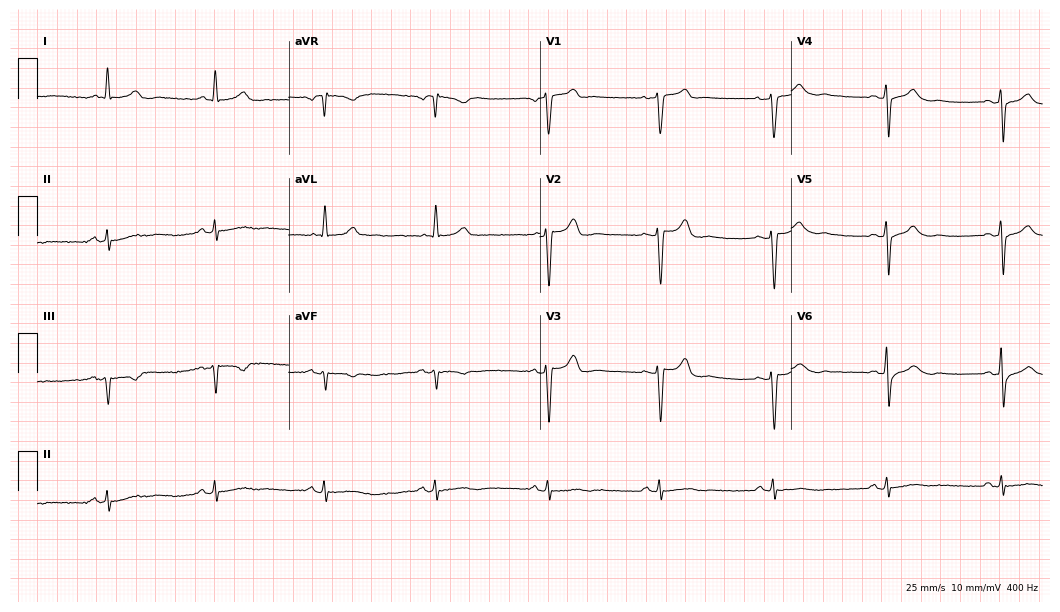
Electrocardiogram (10.2-second recording at 400 Hz), a 67-year-old male patient. Of the six screened findings (first-degree AV block, right bundle branch block (RBBB), left bundle branch block (LBBB), sinus bradycardia, atrial fibrillation (AF), sinus tachycardia), none is recorded. Findings outside these six are not listed.